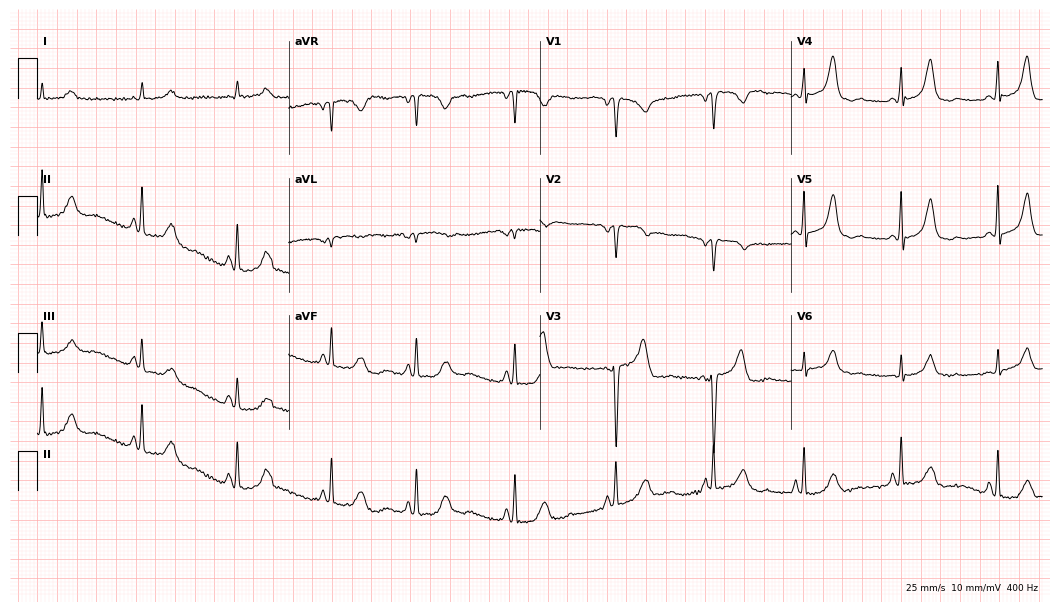
12-lead ECG from an 84-year-old woman. No first-degree AV block, right bundle branch block, left bundle branch block, sinus bradycardia, atrial fibrillation or sinus tachycardia recorded for this tracing.